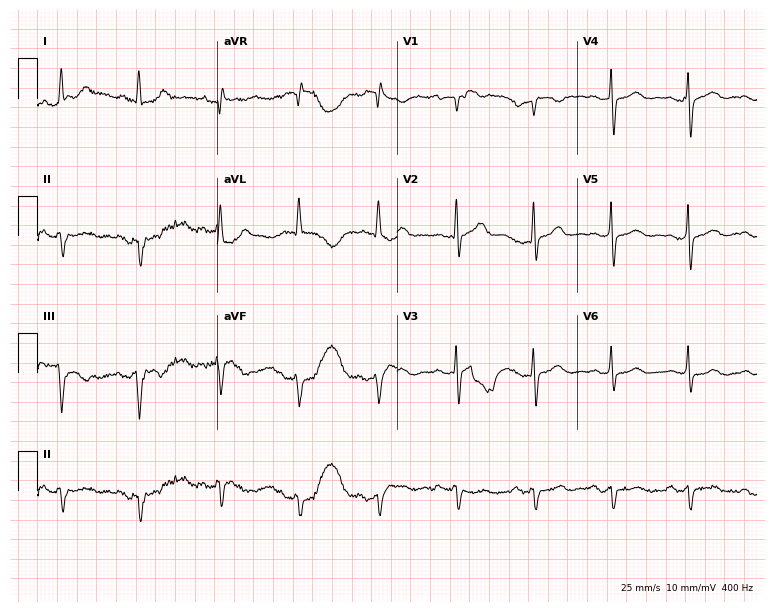
12-lead ECG from a 71-year-old female patient. No first-degree AV block, right bundle branch block (RBBB), left bundle branch block (LBBB), sinus bradycardia, atrial fibrillation (AF) or sinus tachycardia recorded for this tracing. Other findings, if any, are not listed.